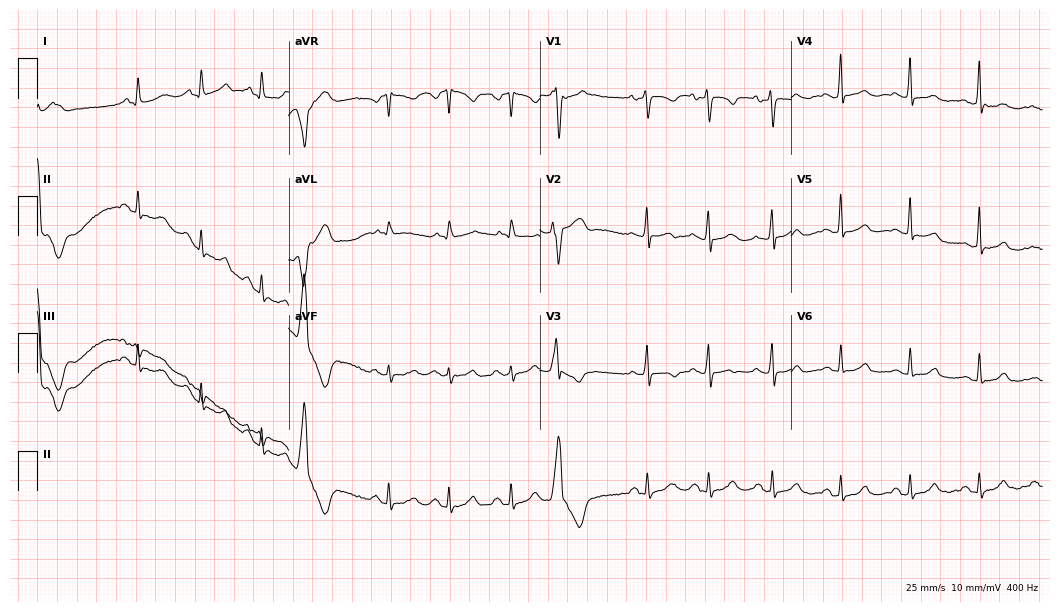
Standard 12-lead ECG recorded from a female, 30 years old. None of these six findings is recorded: first-degree AV block, right bundle branch block, left bundle branch block, sinus bradycardia, atrial fibrillation, sinus tachycardia. Other findings, if any, are not listed.